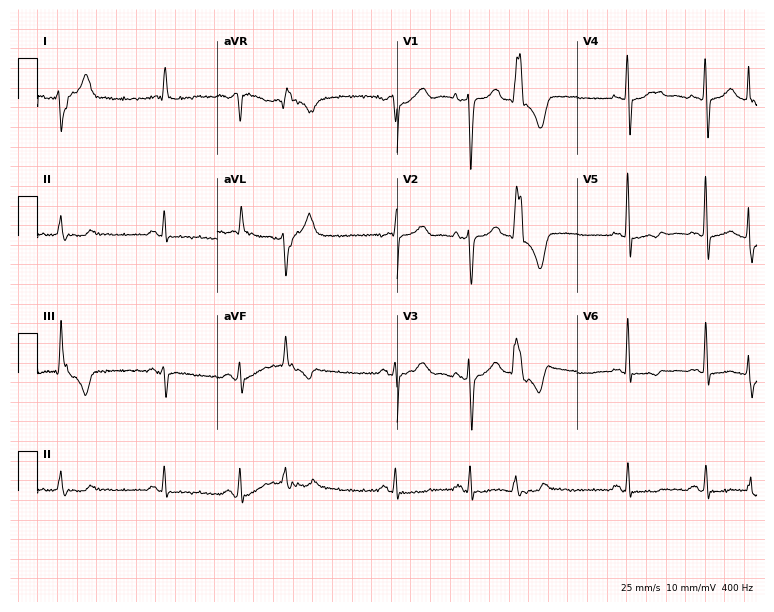
Standard 12-lead ECG recorded from a woman, 76 years old (7.3-second recording at 400 Hz). None of these six findings is recorded: first-degree AV block, right bundle branch block, left bundle branch block, sinus bradycardia, atrial fibrillation, sinus tachycardia. Findings outside these six are not listed.